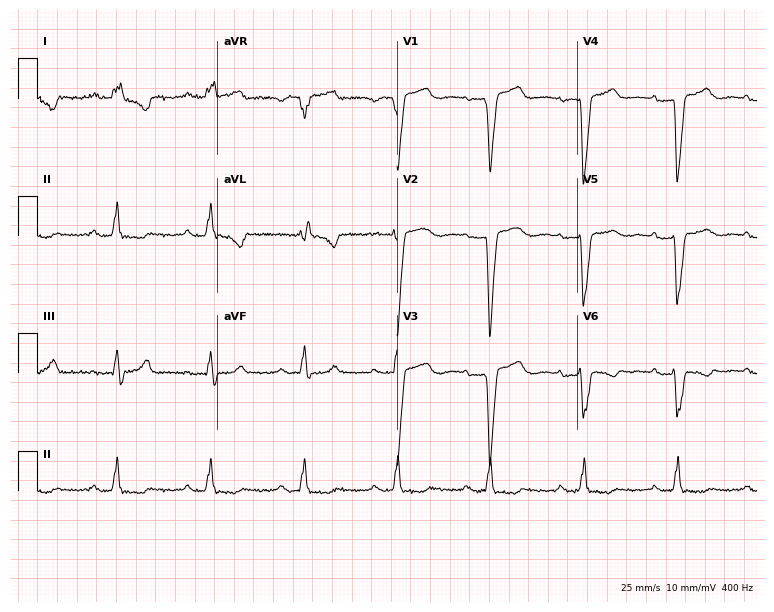
12-lead ECG (7.3-second recording at 400 Hz) from a female, 68 years old. Findings include first-degree AV block, left bundle branch block.